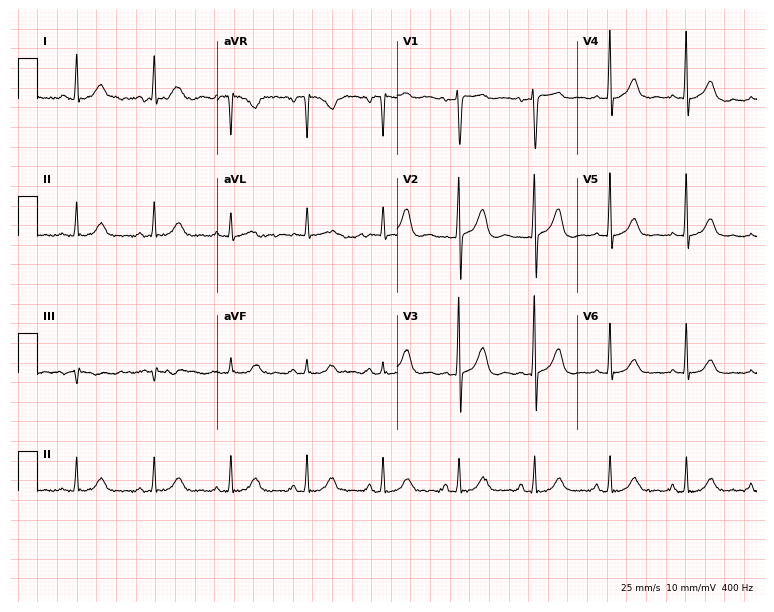
12-lead ECG from a female patient, 79 years old (7.3-second recording at 400 Hz). No first-degree AV block, right bundle branch block, left bundle branch block, sinus bradycardia, atrial fibrillation or sinus tachycardia recorded for this tracing. Findings outside these six are not listed.